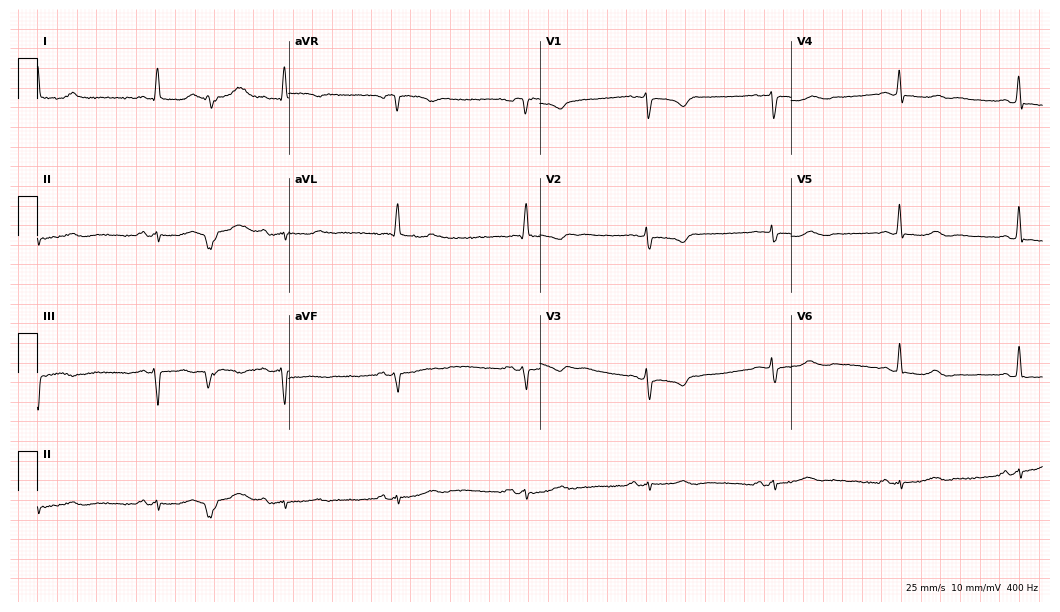
12-lead ECG from a woman, 73 years old. Findings include sinus bradycardia (a sinus rate of 50 beats per minute or less).